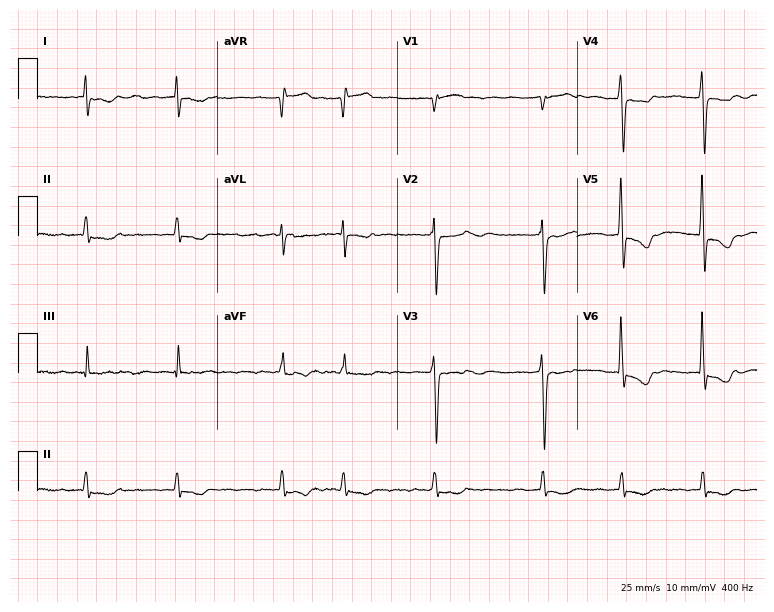
Standard 12-lead ECG recorded from a male patient, 75 years old. The tracing shows atrial fibrillation (AF).